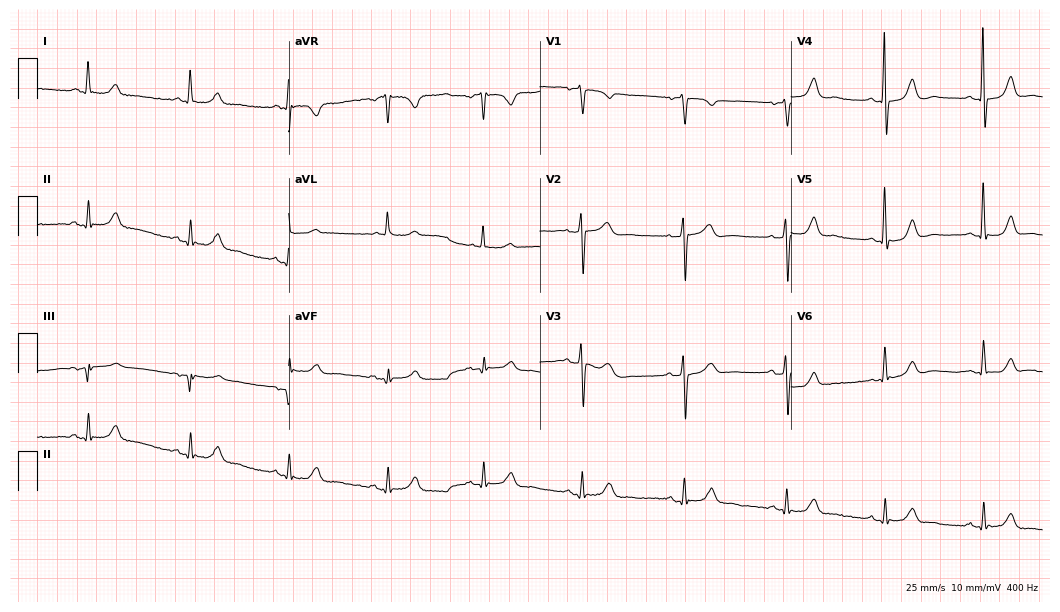
12-lead ECG from a 75-year-old female. Labelled as a normal ECG.